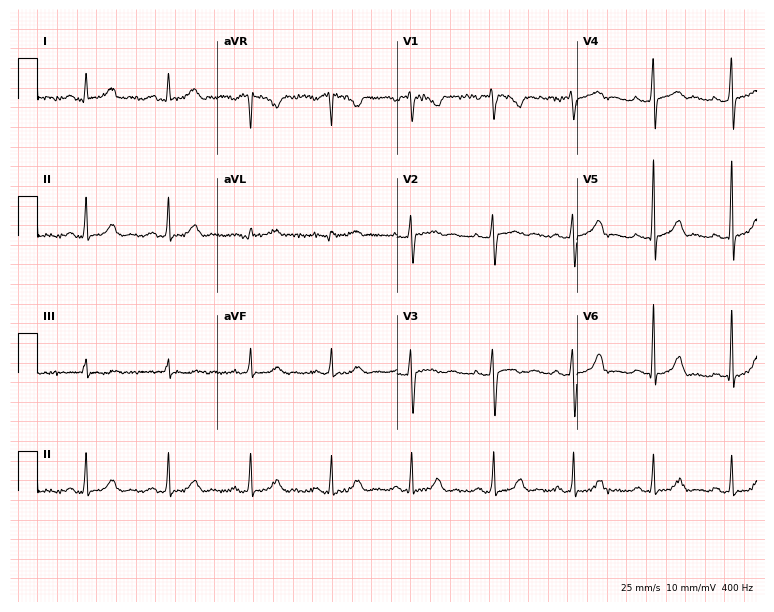
12-lead ECG from a woman, 37 years old (7.3-second recording at 400 Hz). No first-degree AV block, right bundle branch block, left bundle branch block, sinus bradycardia, atrial fibrillation or sinus tachycardia recorded for this tracing.